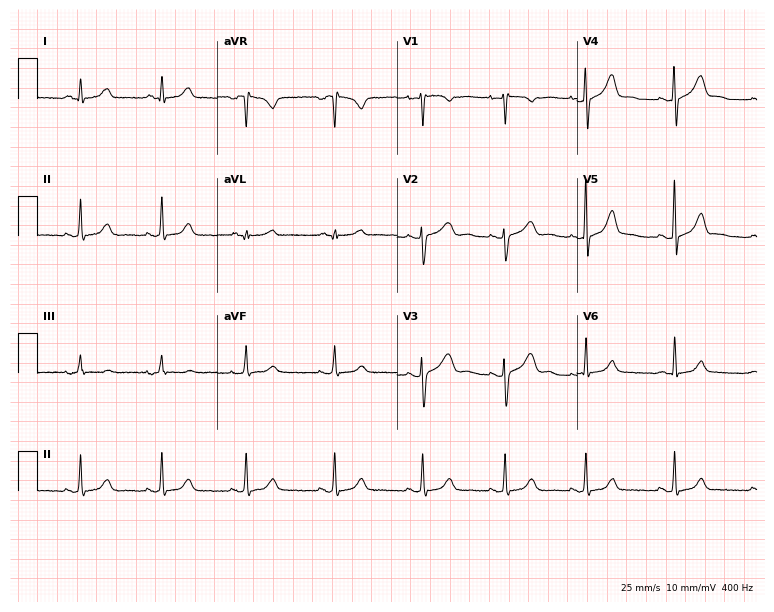
12-lead ECG from a female patient, 33 years old (7.3-second recording at 400 Hz). Recorded interpretation: within normal limits.